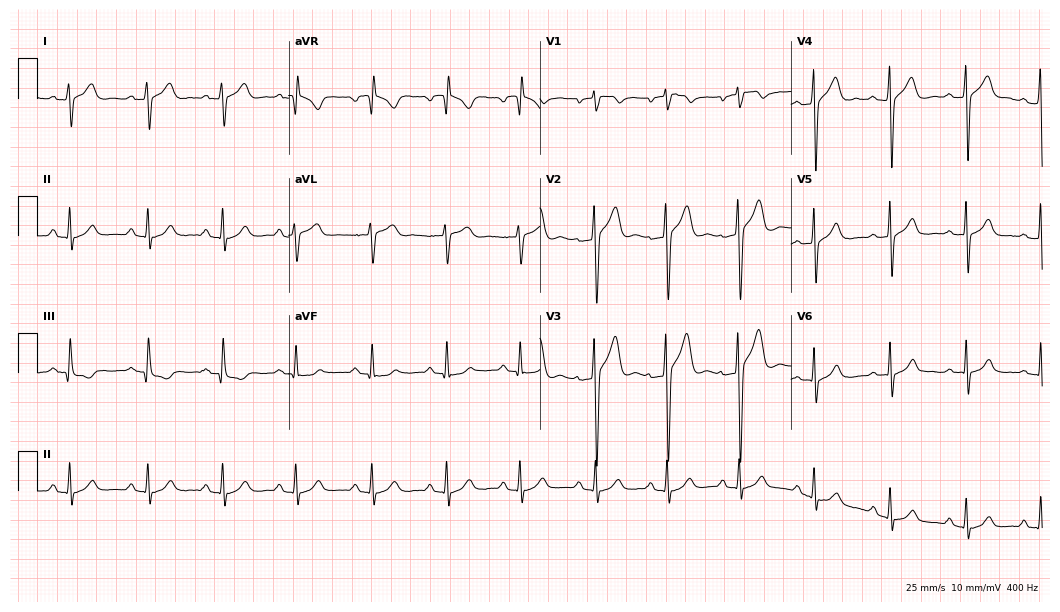
12-lead ECG from a 74-year-old female. No first-degree AV block, right bundle branch block, left bundle branch block, sinus bradycardia, atrial fibrillation or sinus tachycardia recorded for this tracing.